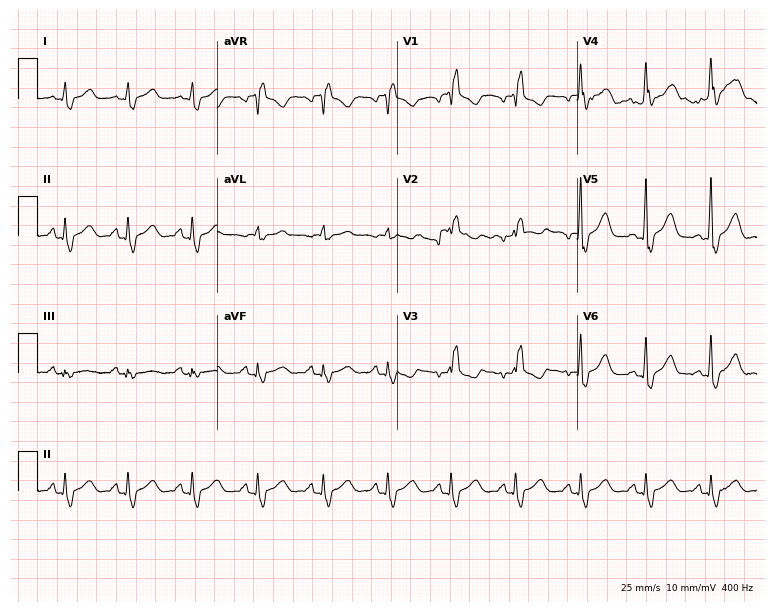
12-lead ECG from a female, 52 years old. Shows right bundle branch block.